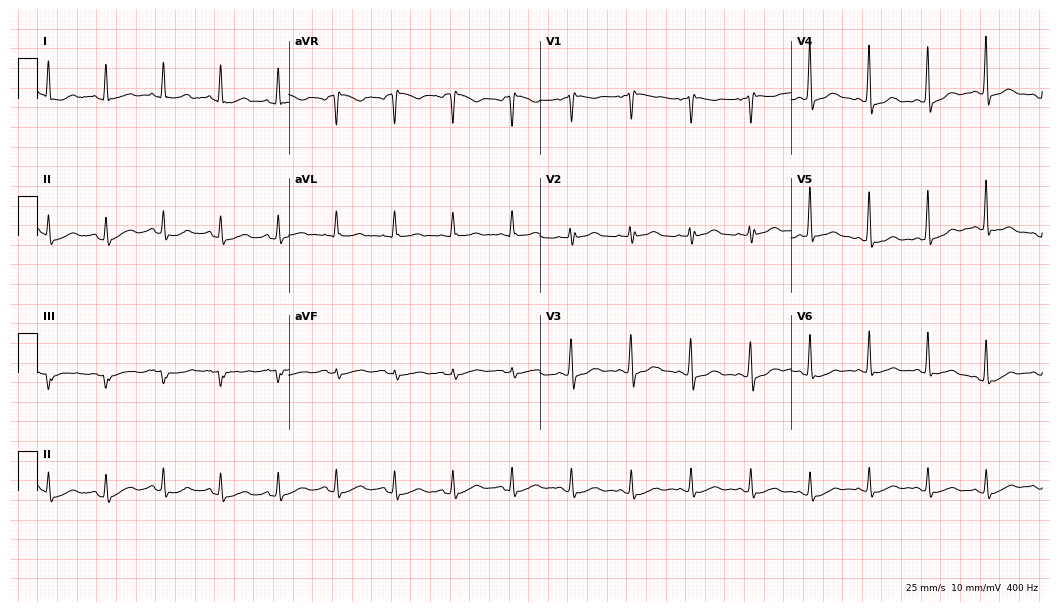
Resting 12-lead electrocardiogram (10.2-second recording at 400 Hz). Patient: a female, 40 years old. The tracing shows sinus tachycardia (a sinus rate of 100 beats per minute or more).